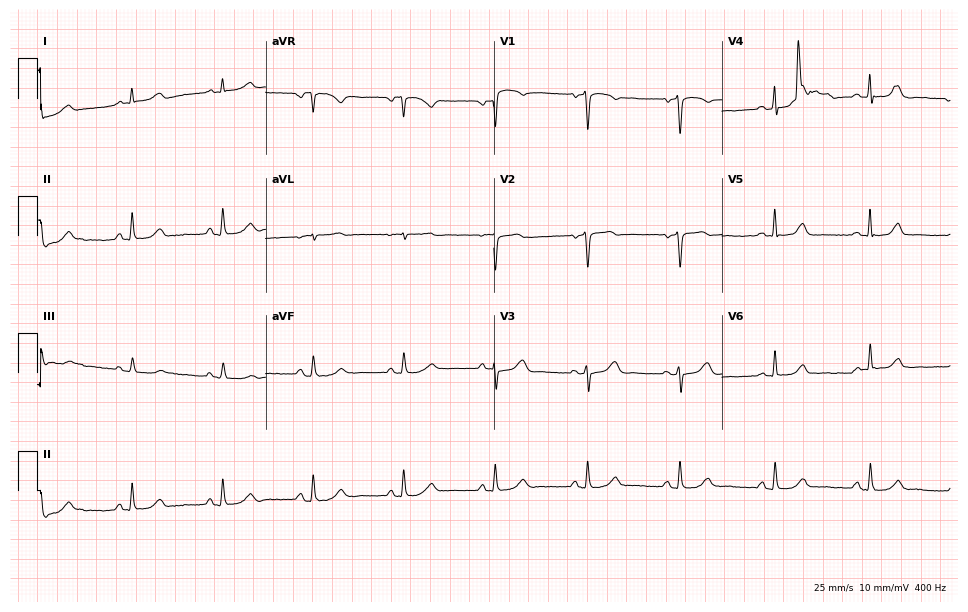
12-lead ECG from a 49-year-old woman. Screened for six findings — first-degree AV block, right bundle branch block, left bundle branch block, sinus bradycardia, atrial fibrillation, sinus tachycardia — none is recorded.